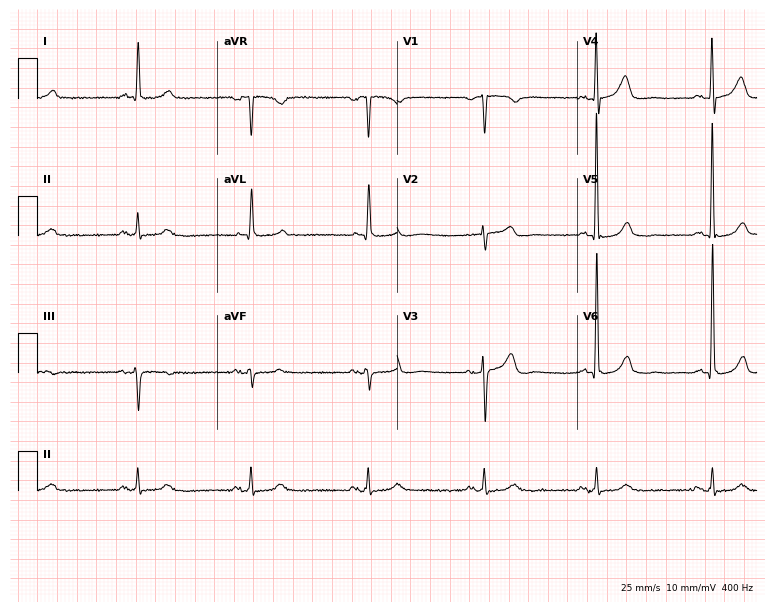
Electrocardiogram (7.3-second recording at 400 Hz), a female, 67 years old. Of the six screened findings (first-degree AV block, right bundle branch block, left bundle branch block, sinus bradycardia, atrial fibrillation, sinus tachycardia), none is recorded. Other findings, if any, are not listed.